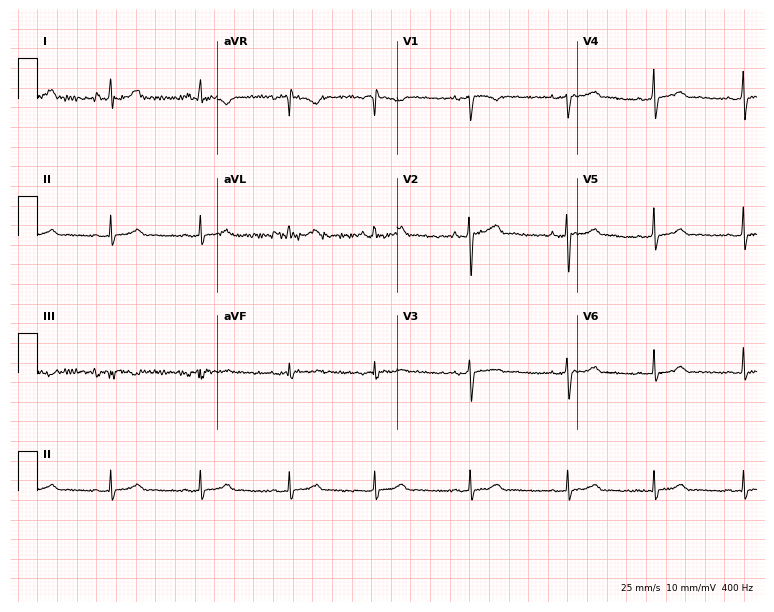
Electrocardiogram, a female patient, 26 years old. Overall reading on record: normal ECG.